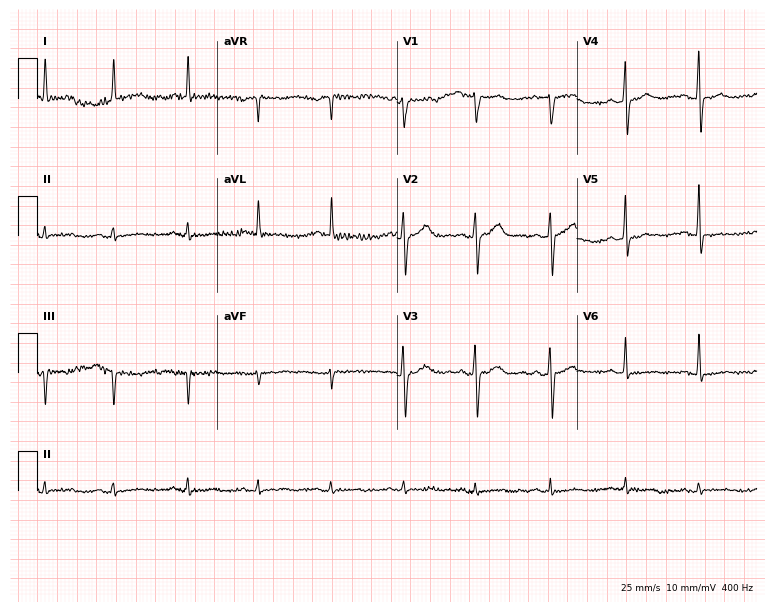
Resting 12-lead electrocardiogram. Patient: a 58-year-old woman. None of these six findings is recorded: first-degree AV block, right bundle branch block, left bundle branch block, sinus bradycardia, atrial fibrillation, sinus tachycardia.